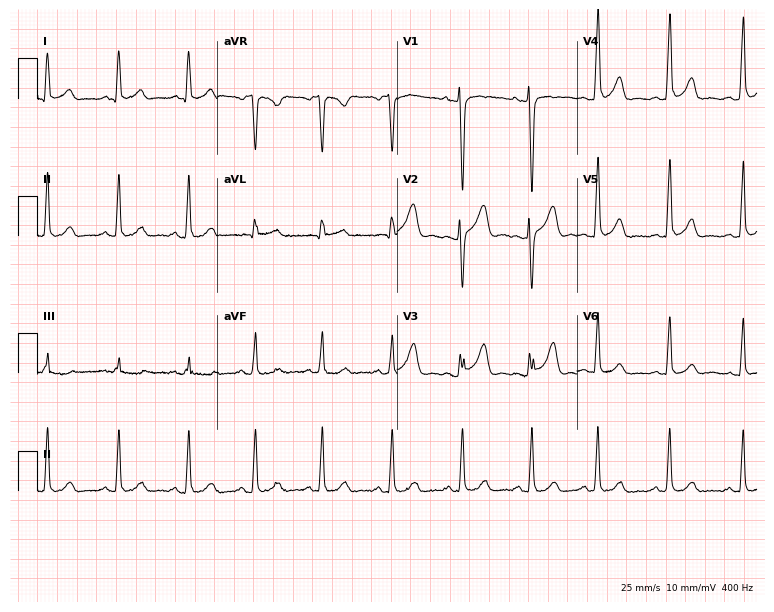
Electrocardiogram, a 26-year-old female. Of the six screened findings (first-degree AV block, right bundle branch block, left bundle branch block, sinus bradycardia, atrial fibrillation, sinus tachycardia), none is recorded. Only these six findings were labelled.